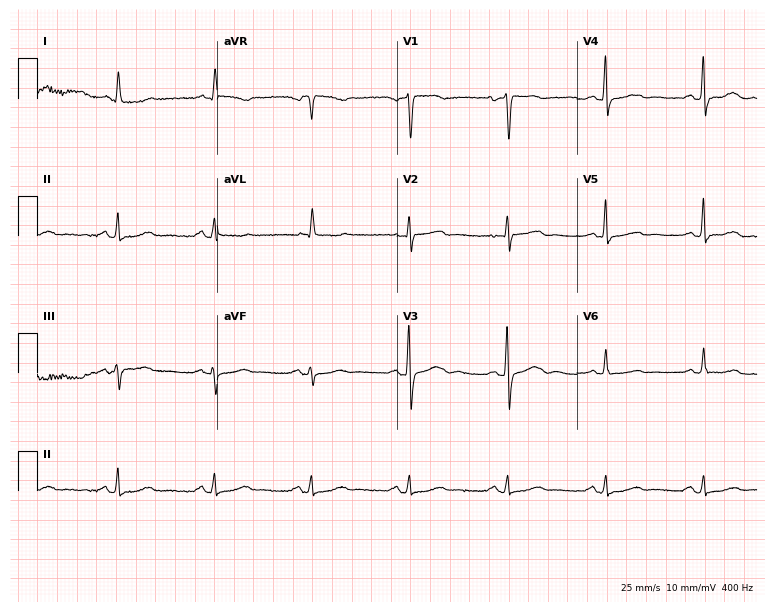
Electrocardiogram, a 62-year-old female. Of the six screened findings (first-degree AV block, right bundle branch block (RBBB), left bundle branch block (LBBB), sinus bradycardia, atrial fibrillation (AF), sinus tachycardia), none is recorded.